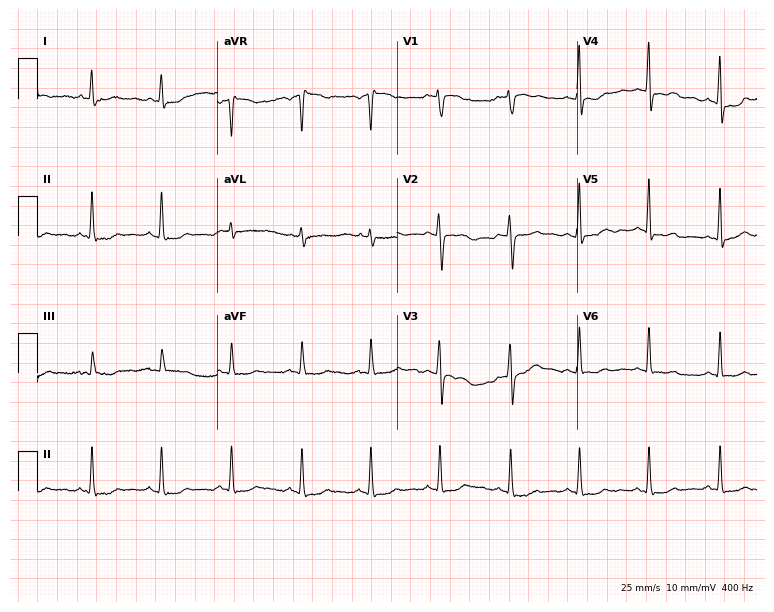
12-lead ECG from a female, 40 years old. Screened for six findings — first-degree AV block, right bundle branch block, left bundle branch block, sinus bradycardia, atrial fibrillation, sinus tachycardia — none is recorded. Findings outside these six are not listed.